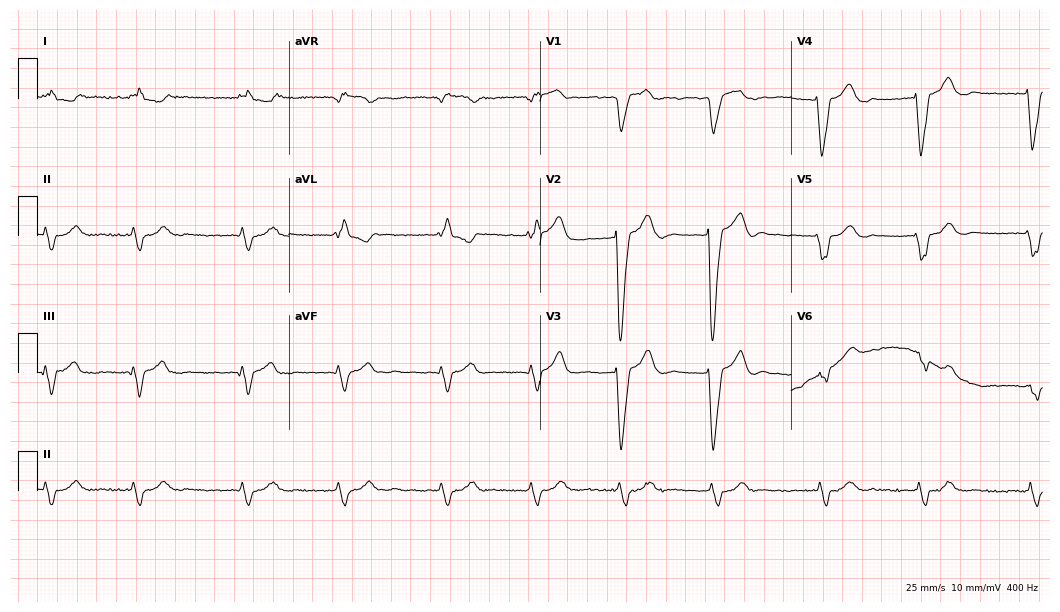
ECG (10.2-second recording at 400 Hz) — a 71-year-old woman. Findings include left bundle branch block, atrial fibrillation.